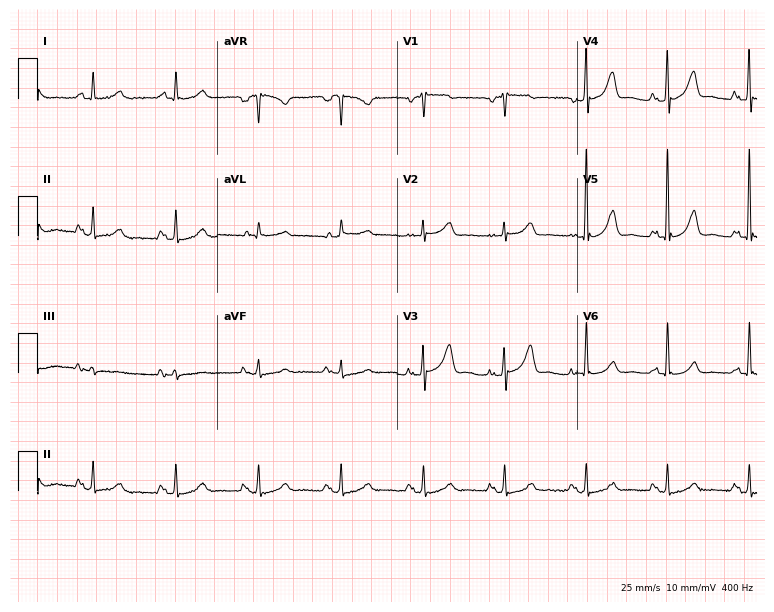
Standard 12-lead ECG recorded from a male, 82 years old (7.3-second recording at 400 Hz). None of these six findings is recorded: first-degree AV block, right bundle branch block (RBBB), left bundle branch block (LBBB), sinus bradycardia, atrial fibrillation (AF), sinus tachycardia. Only these six findings were labelled.